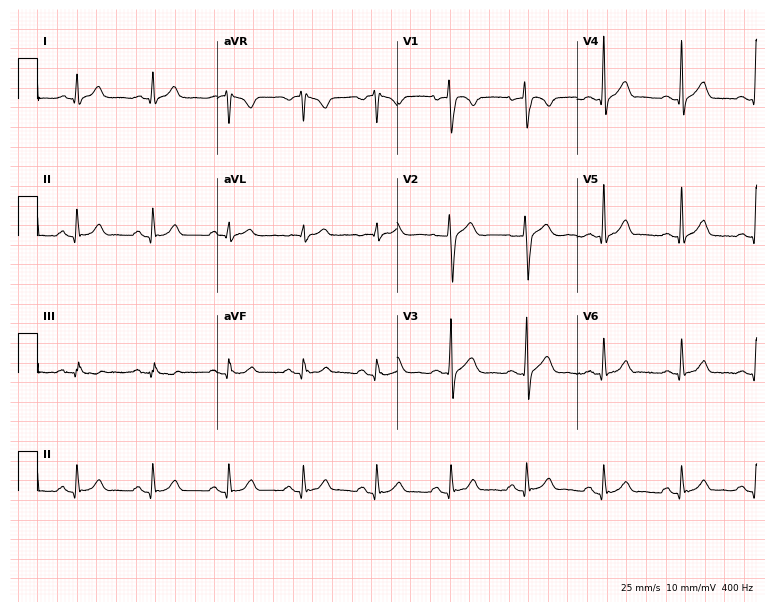
Resting 12-lead electrocardiogram (7.3-second recording at 400 Hz). Patient: a male, 25 years old. Read as a normal ECG.